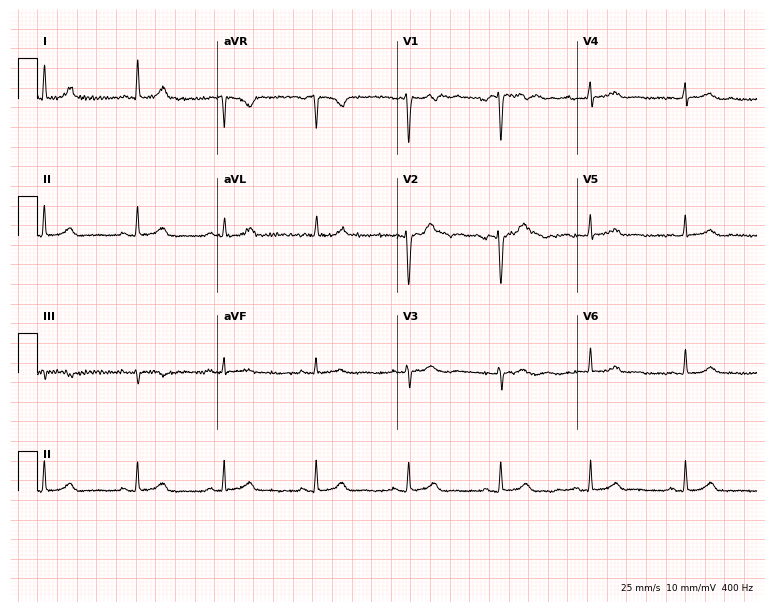
Electrocardiogram, a 19-year-old woman. Of the six screened findings (first-degree AV block, right bundle branch block, left bundle branch block, sinus bradycardia, atrial fibrillation, sinus tachycardia), none is recorded. Findings outside these six are not listed.